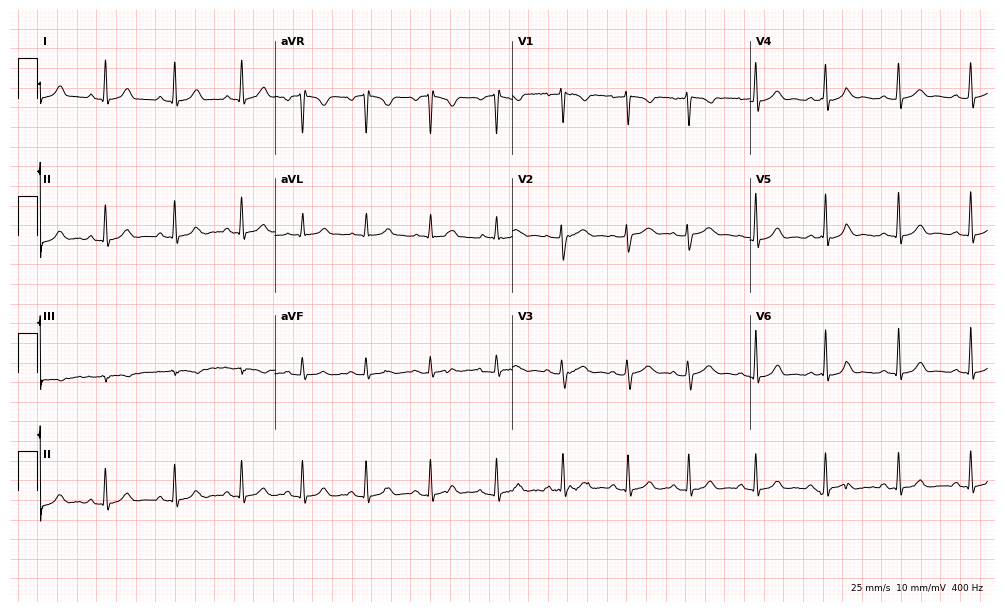
12-lead ECG from a female, 18 years old. Labelled as a normal ECG.